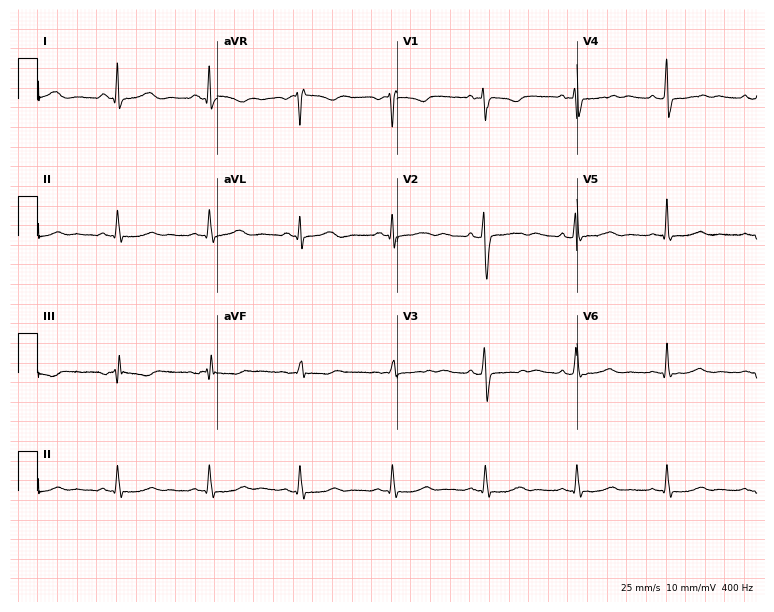
ECG — a female patient, 40 years old. Screened for six findings — first-degree AV block, right bundle branch block, left bundle branch block, sinus bradycardia, atrial fibrillation, sinus tachycardia — none is recorded. Only these six findings were labelled.